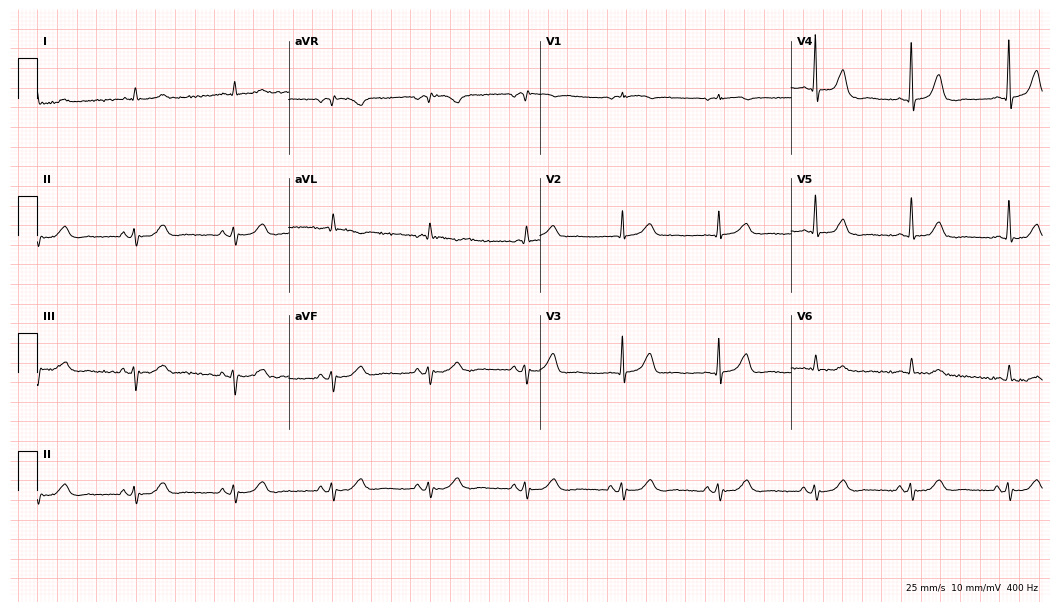
12-lead ECG (10.2-second recording at 400 Hz) from a man, 80 years old. Screened for six findings — first-degree AV block, right bundle branch block, left bundle branch block, sinus bradycardia, atrial fibrillation, sinus tachycardia — none is recorded.